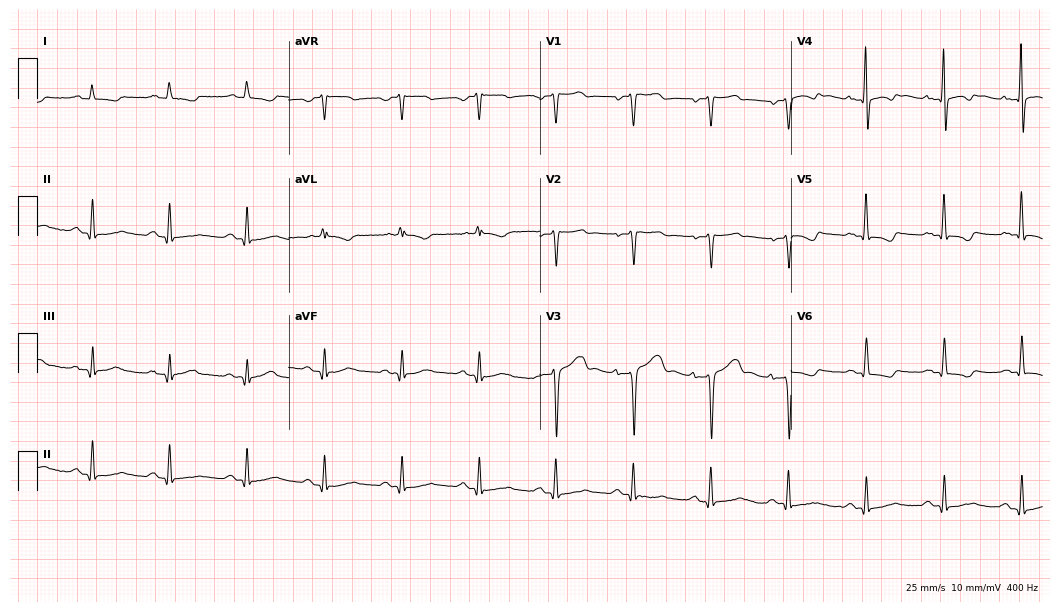
12-lead ECG from a female patient, 67 years old. Screened for six findings — first-degree AV block, right bundle branch block, left bundle branch block, sinus bradycardia, atrial fibrillation, sinus tachycardia — none is recorded. Other findings, if any, are not listed.